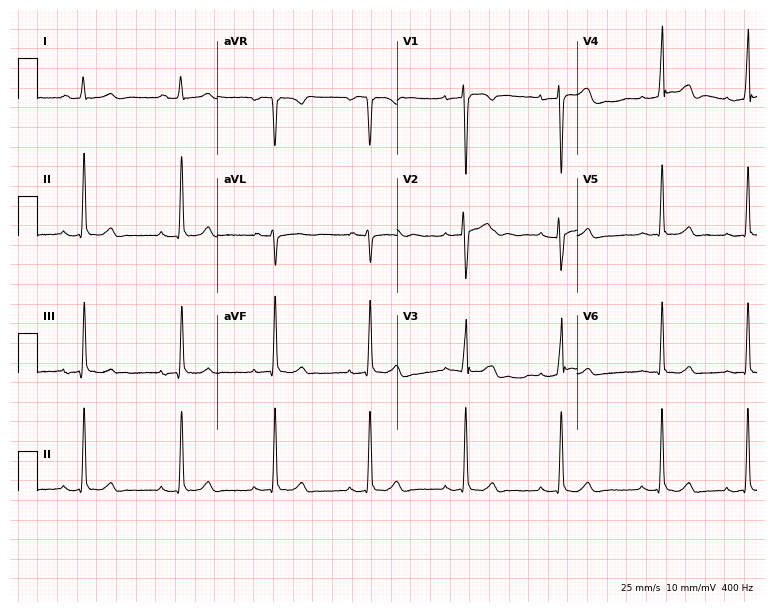
ECG (7.3-second recording at 400 Hz) — a 17-year-old female patient. Screened for six findings — first-degree AV block, right bundle branch block, left bundle branch block, sinus bradycardia, atrial fibrillation, sinus tachycardia — none is recorded.